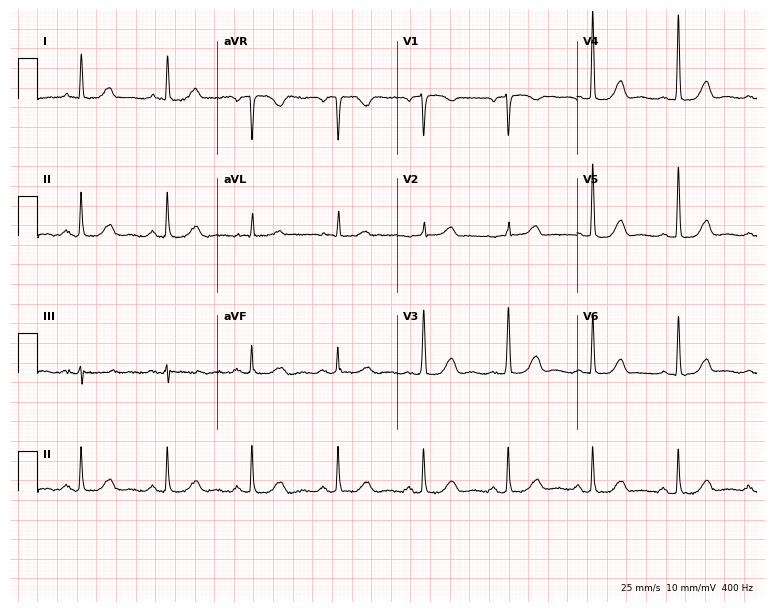
12-lead ECG (7.3-second recording at 400 Hz) from a female, 83 years old. Labelled as a normal ECG.